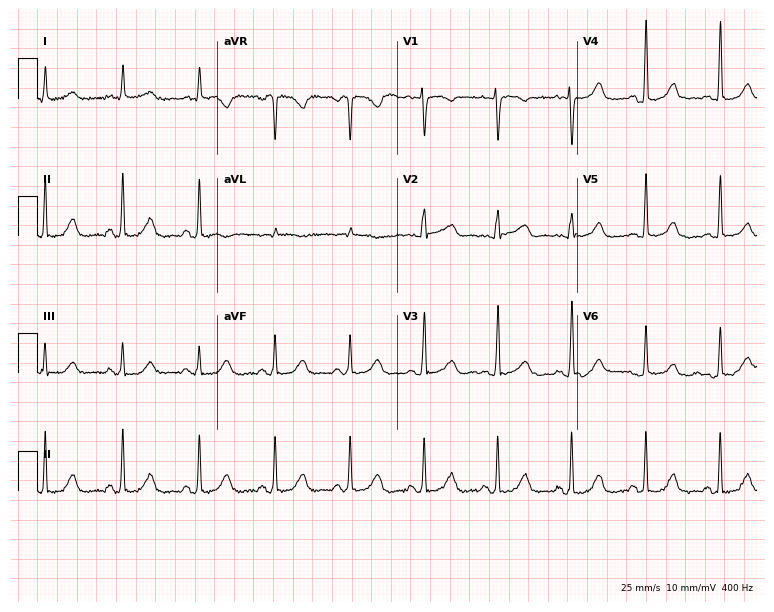
Resting 12-lead electrocardiogram (7.3-second recording at 400 Hz). Patient: a female, 72 years old. None of these six findings is recorded: first-degree AV block, right bundle branch block (RBBB), left bundle branch block (LBBB), sinus bradycardia, atrial fibrillation (AF), sinus tachycardia. Only these six findings were labelled.